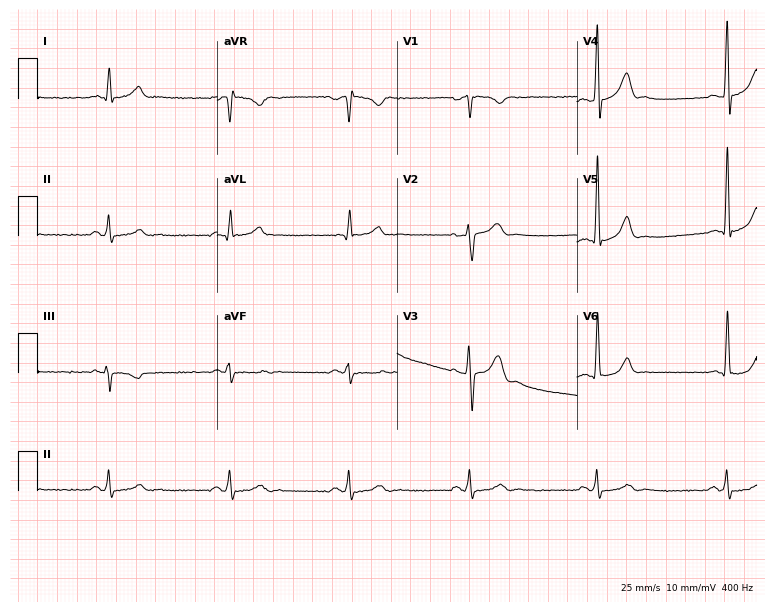
12-lead ECG (7.3-second recording at 400 Hz) from a man, 44 years old. Screened for six findings — first-degree AV block, right bundle branch block (RBBB), left bundle branch block (LBBB), sinus bradycardia, atrial fibrillation (AF), sinus tachycardia — none is recorded. Findings outside these six are not listed.